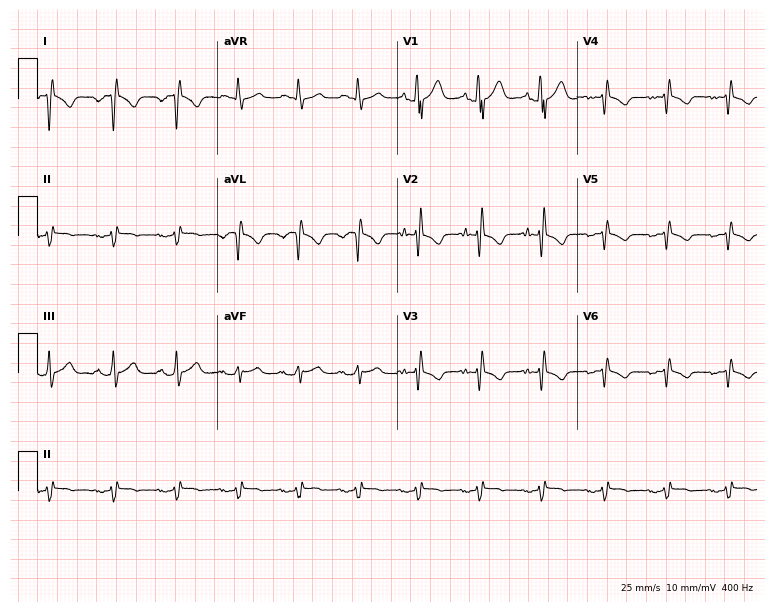
ECG (7.3-second recording at 400 Hz) — a male, 24 years old. Screened for six findings — first-degree AV block, right bundle branch block, left bundle branch block, sinus bradycardia, atrial fibrillation, sinus tachycardia — none is recorded. Only these six findings were labelled.